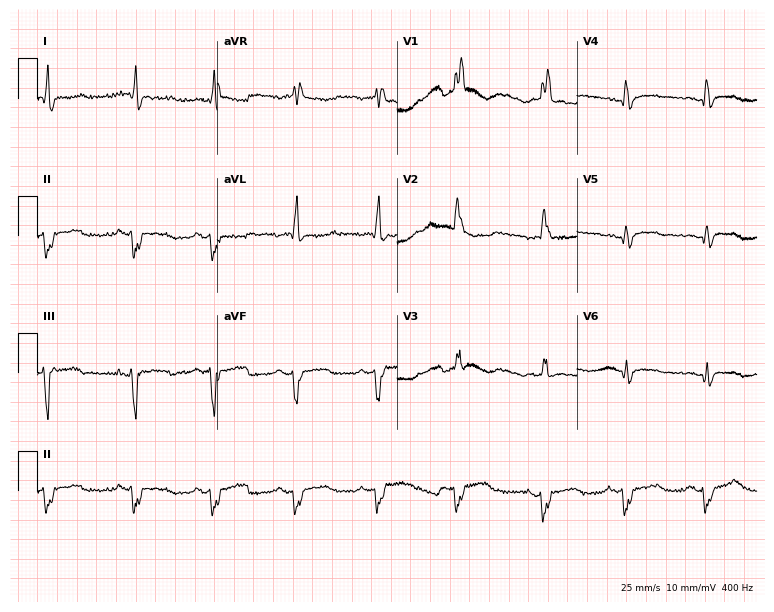
Electrocardiogram (7.3-second recording at 400 Hz), a female patient, 83 years old. Interpretation includes right bundle branch block (RBBB).